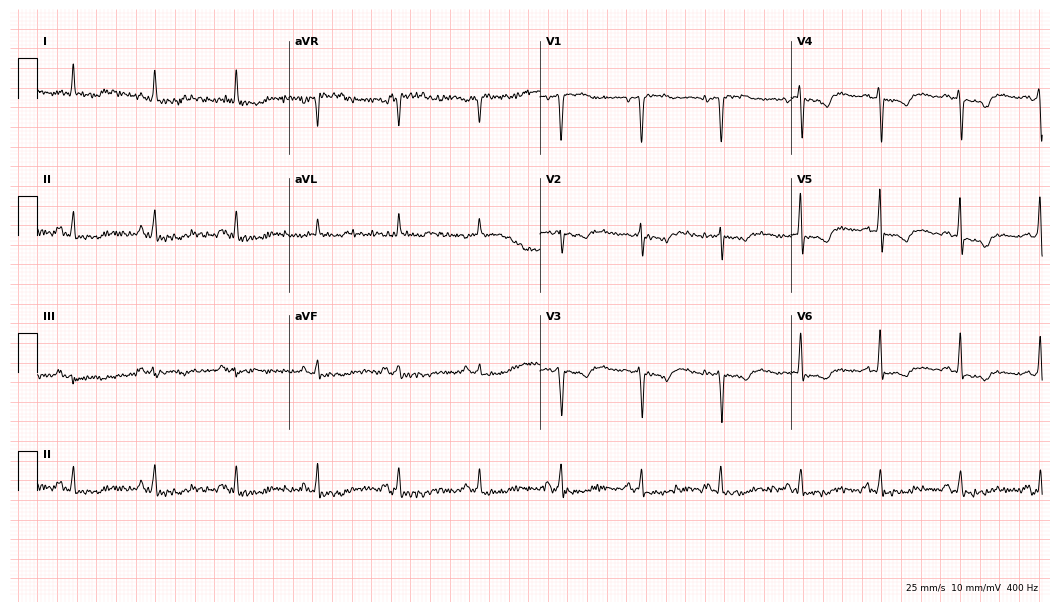
Resting 12-lead electrocardiogram. Patient: a 71-year-old woman. None of these six findings is recorded: first-degree AV block, right bundle branch block (RBBB), left bundle branch block (LBBB), sinus bradycardia, atrial fibrillation (AF), sinus tachycardia.